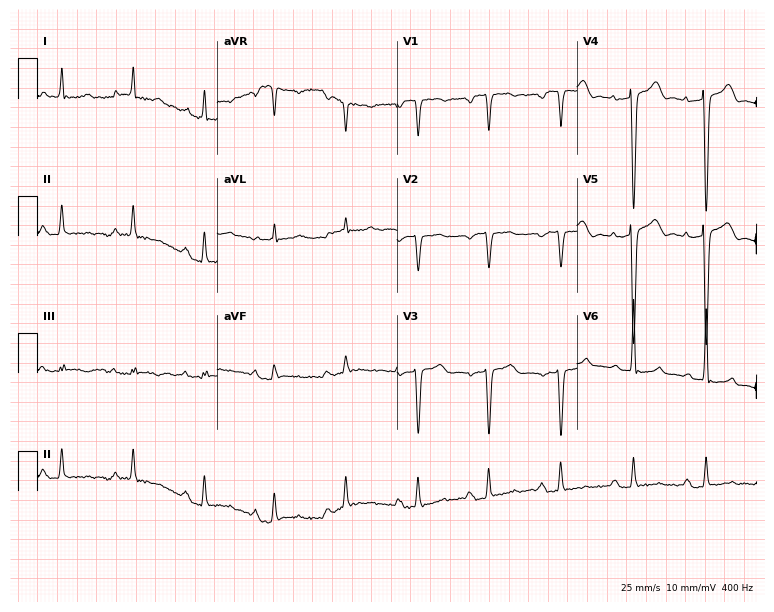
12-lead ECG (7.3-second recording at 400 Hz) from an 85-year-old man. Screened for six findings — first-degree AV block, right bundle branch block, left bundle branch block, sinus bradycardia, atrial fibrillation, sinus tachycardia — none is recorded. Other findings, if any, are not listed.